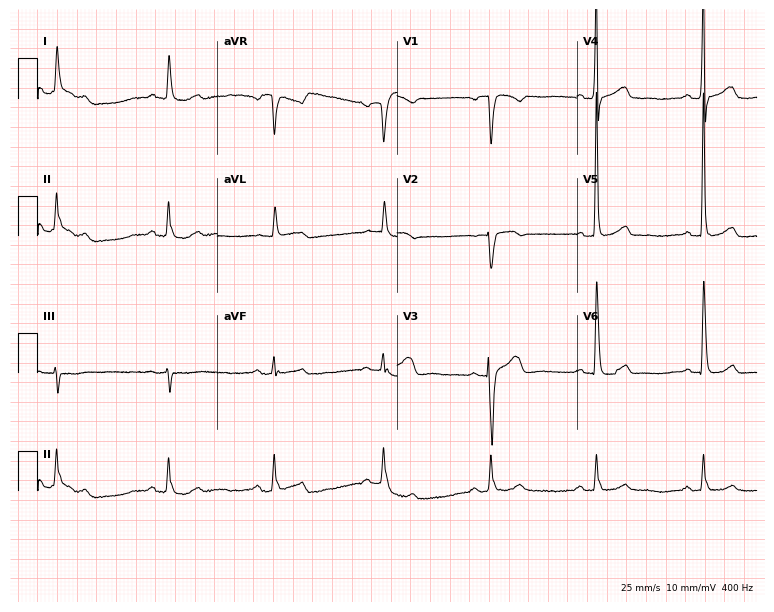
12-lead ECG from a male patient, 73 years old. No first-degree AV block, right bundle branch block, left bundle branch block, sinus bradycardia, atrial fibrillation or sinus tachycardia recorded for this tracing. Only these six findings were labelled.